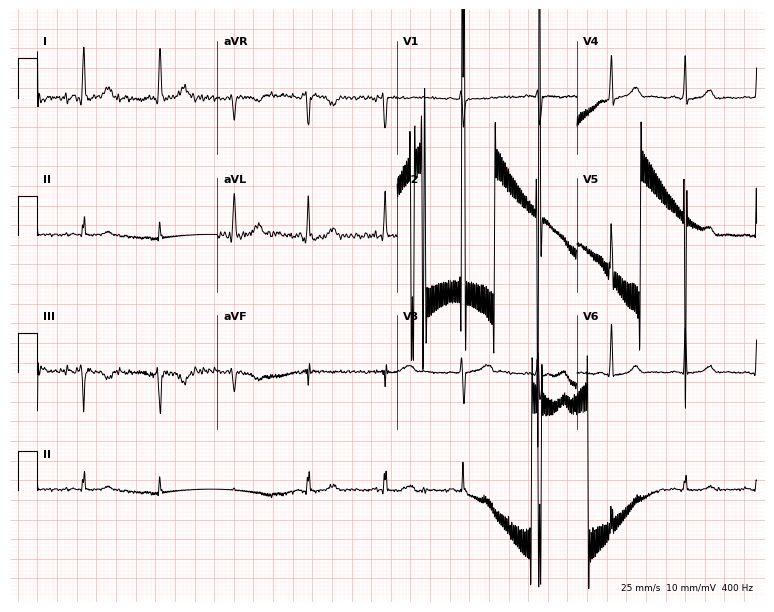
12-lead ECG from a female, 32 years old (7.3-second recording at 400 Hz). No first-degree AV block, right bundle branch block, left bundle branch block, sinus bradycardia, atrial fibrillation or sinus tachycardia recorded for this tracing.